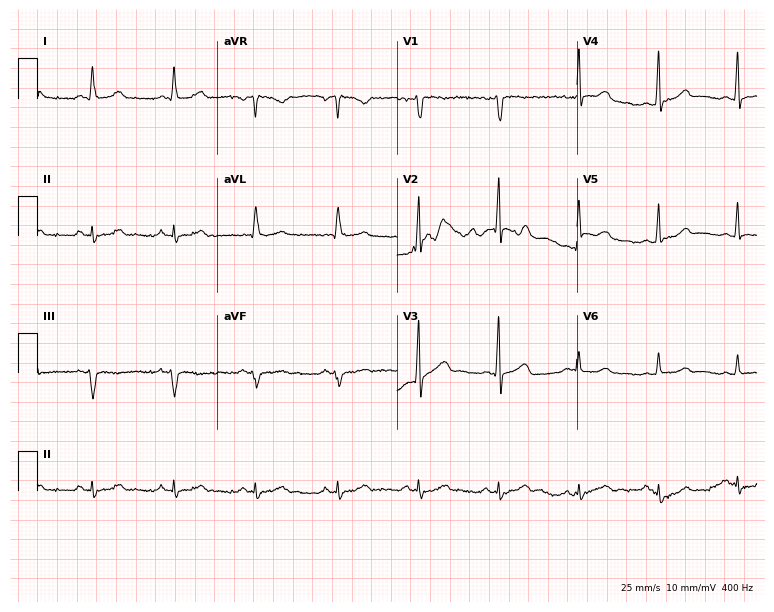
Standard 12-lead ECG recorded from a male patient, 49 years old (7.3-second recording at 400 Hz). None of these six findings is recorded: first-degree AV block, right bundle branch block (RBBB), left bundle branch block (LBBB), sinus bradycardia, atrial fibrillation (AF), sinus tachycardia. Findings outside these six are not listed.